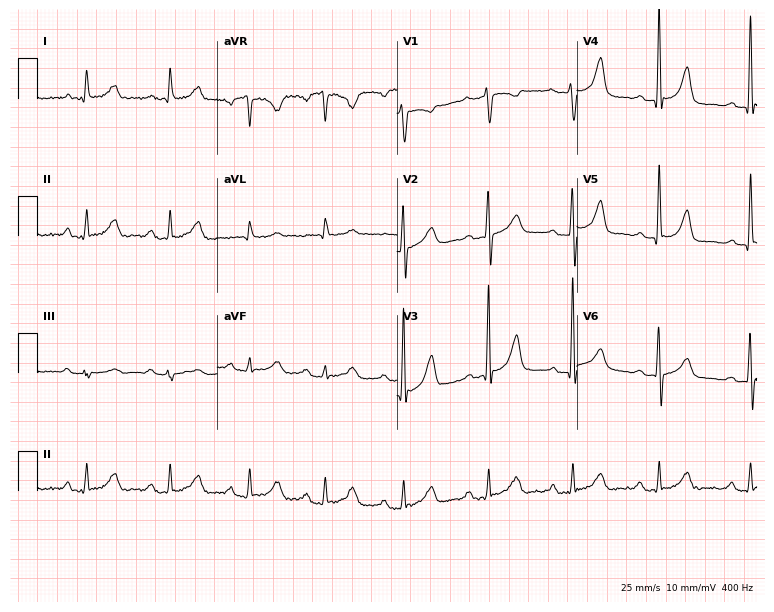
Standard 12-lead ECG recorded from a 54-year-old woman. None of these six findings is recorded: first-degree AV block, right bundle branch block, left bundle branch block, sinus bradycardia, atrial fibrillation, sinus tachycardia. Findings outside these six are not listed.